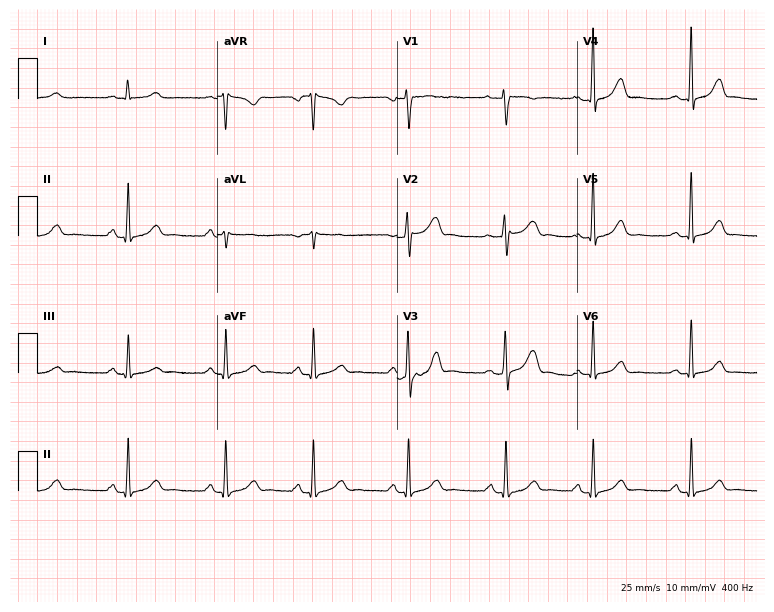
Electrocardiogram (7.3-second recording at 400 Hz), a 29-year-old woman. Of the six screened findings (first-degree AV block, right bundle branch block, left bundle branch block, sinus bradycardia, atrial fibrillation, sinus tachycardia), none is recorded. Other findings, if any, are not listed.